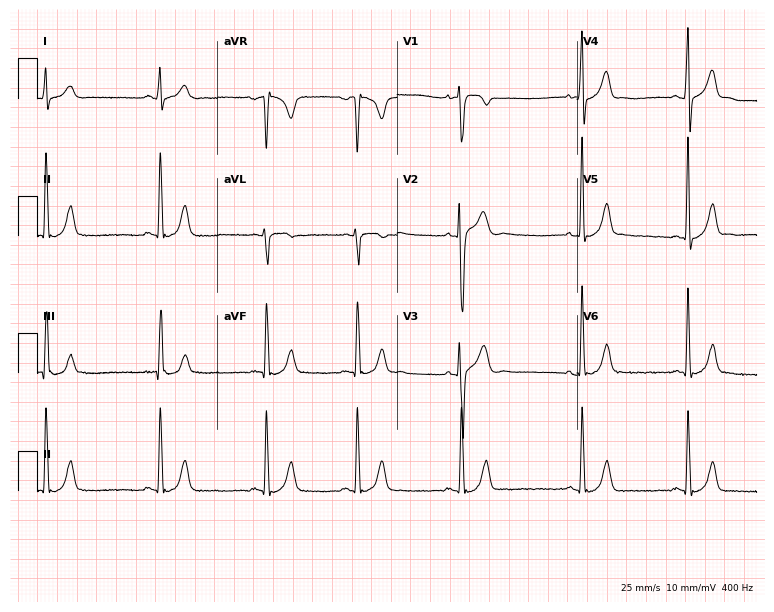
12-lead ECG from a 17-year-old male. Screened for six findings — first-degree AV block, right bundle branch block, left bundle branch block, sinus bradycardia, atrial fibrillation, sinus tachycardia — none is recorded. Other findings, if any, are not listed.